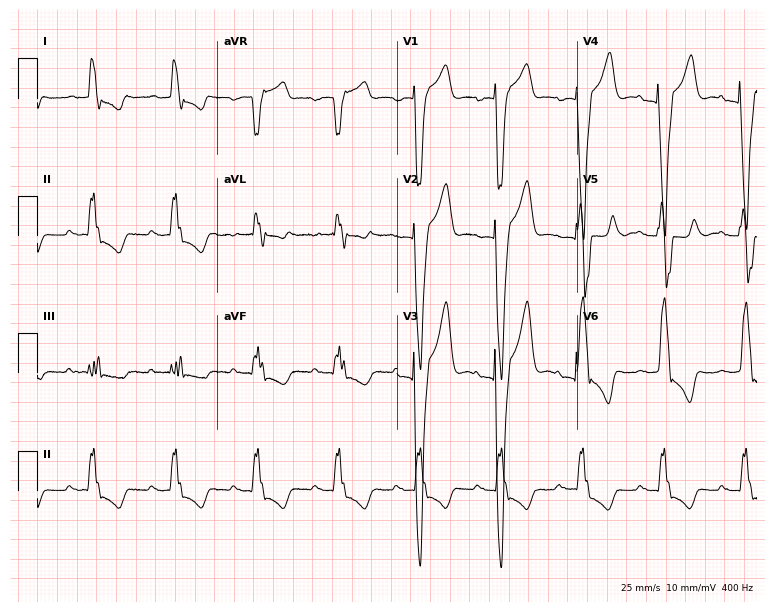
ECG — an 80-year-old male patient. Findings include first-degree AV block, left bundle branch block (LBBB).